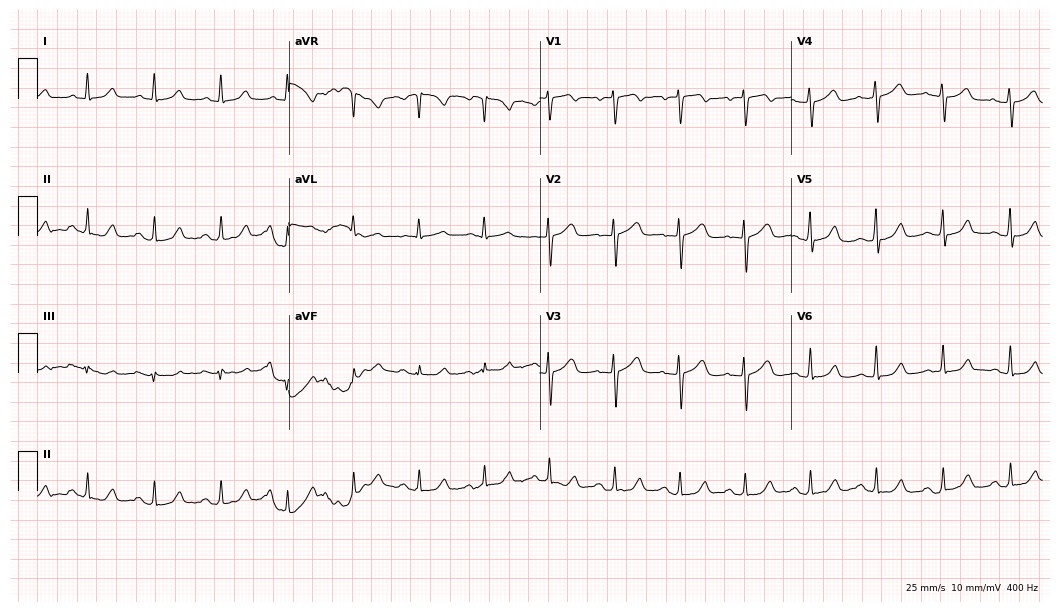
Resting 12-lead electrocardiogram (10.2-second recording at 400 Hz). Patient: a female, 62 years old. Read as a normal ECG.